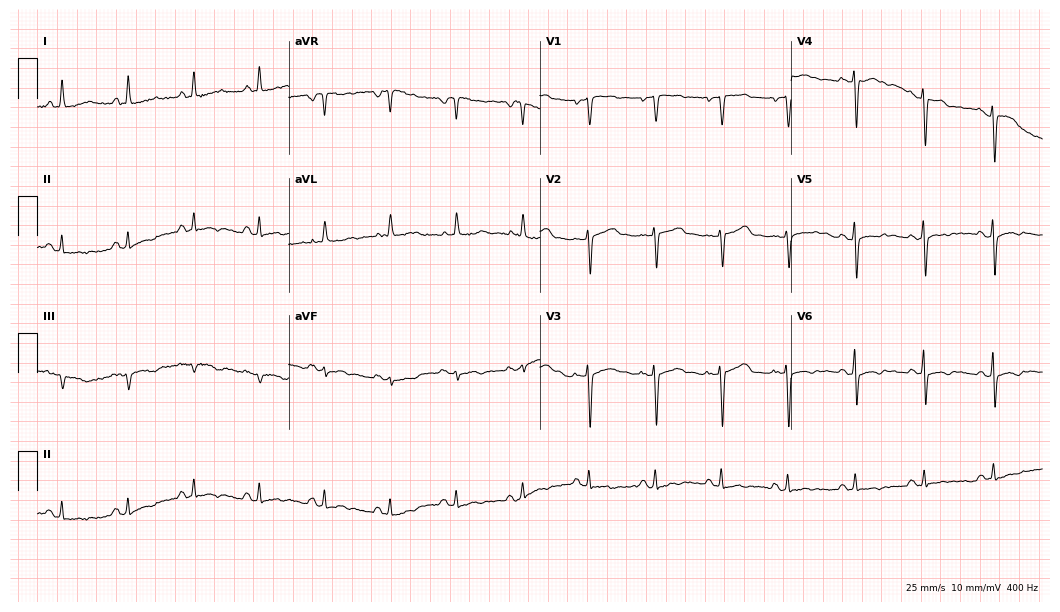
Resting 12-lead electrocardiogram (10.2-second recording at 400 Hz). Patient: a 56-year-old woman. None of these six findings is recorded: first-degree AV block, right bundle branch block, left bundle branch block, sinus bradycardia, atrial fibrillation, sinus tachycardia.